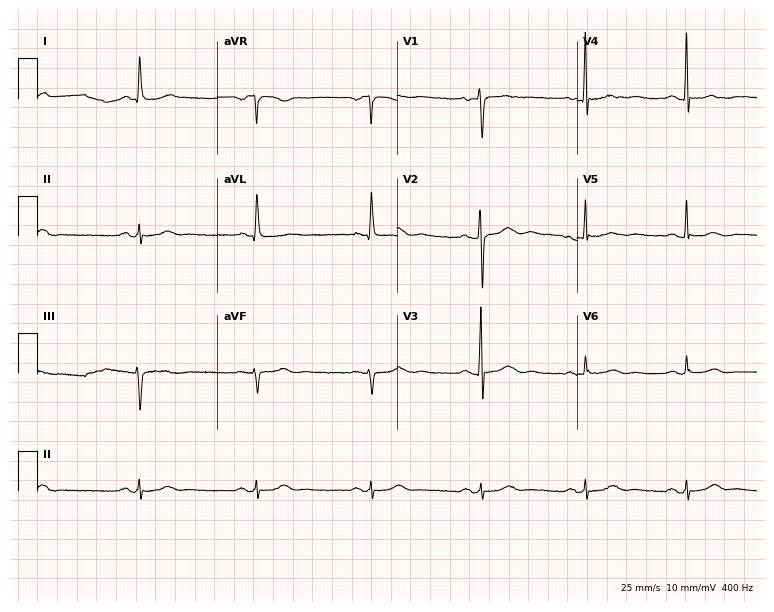
12-lead ECG from a female, 73 years old (7.3-second recording at 400 Hz). No first-degree AV block, right bundle branch block, left bundle branch block, sinus bradycardia, atrial fibrillation or sinus tachycardia recorded for this tracing. Findings outside these six are not listed.